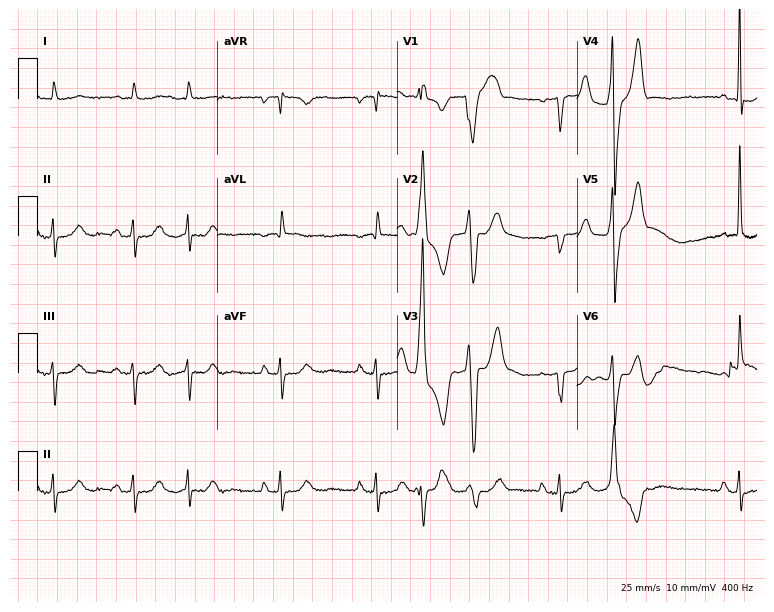
12-lead ECG from a 75-year-old male patient. Screened for six findings — first-degree AV block, right bundle branch block, left bundle branch block, sinus bradycardia, atrial fibrillation, sinus tachycardia — none is recorded.